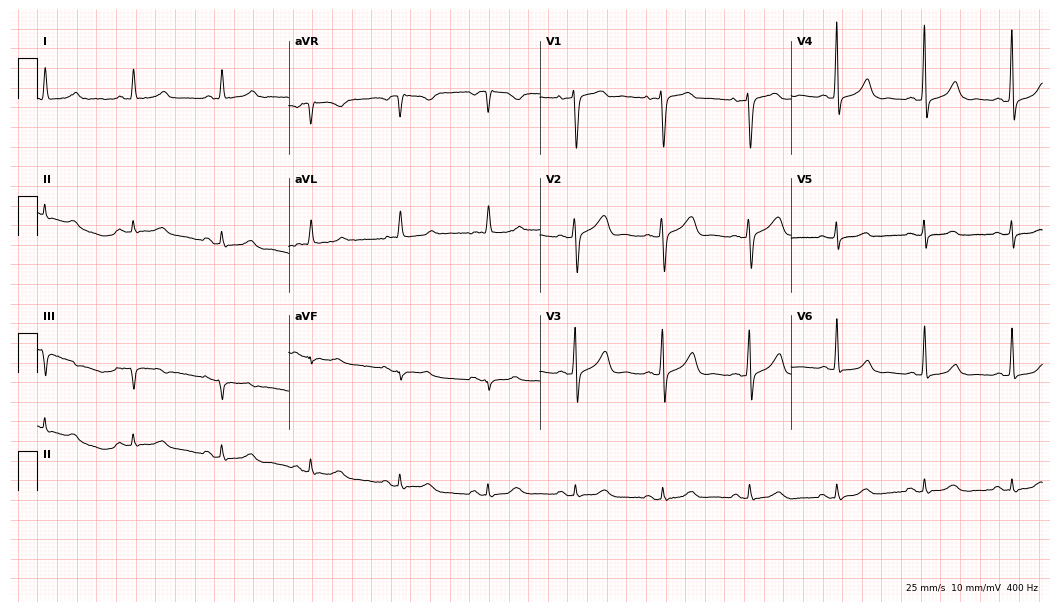
12-lead ECG from a 74-year-old female. Recorded interpretation: within normal limits.